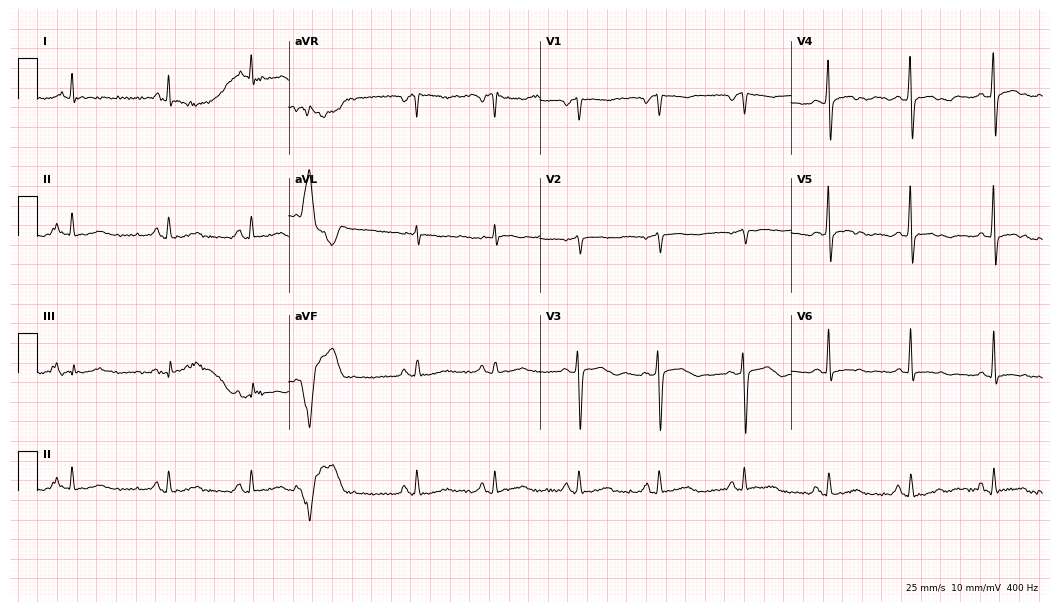
Electrocardiogram (10.2-second recording at 400 Hz), a male patient, 68 years old. Of the six screened findings (first-degree AV block, right bundle branch block, left bundle branch block, sinus bradycardia, atrial fibrillation, sinus tachycardia), none is recorded.